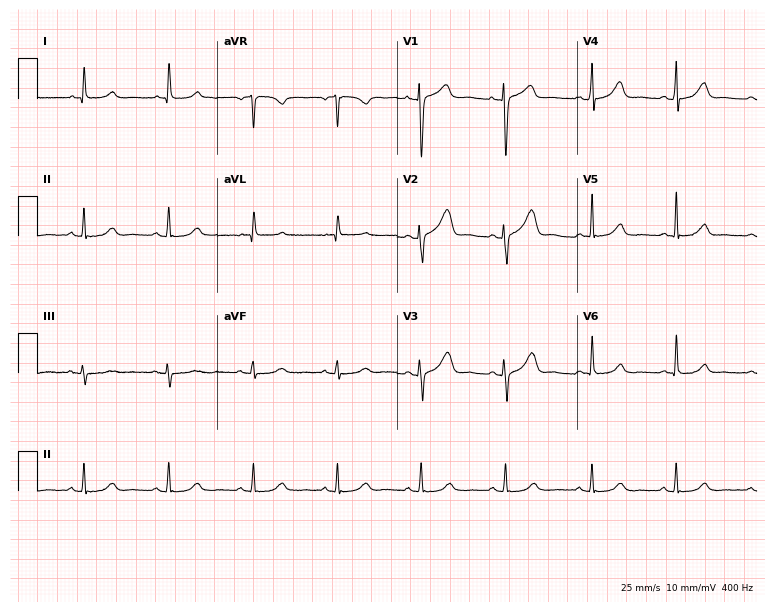
Electrocardiogram, a woman, 54 years old. Of the six screened findings (first-degree AV block, right bundle branch block, left bundle branch block, sinus bradycardia, atrial fibrillation, sinus tachycardia), none is recorded.